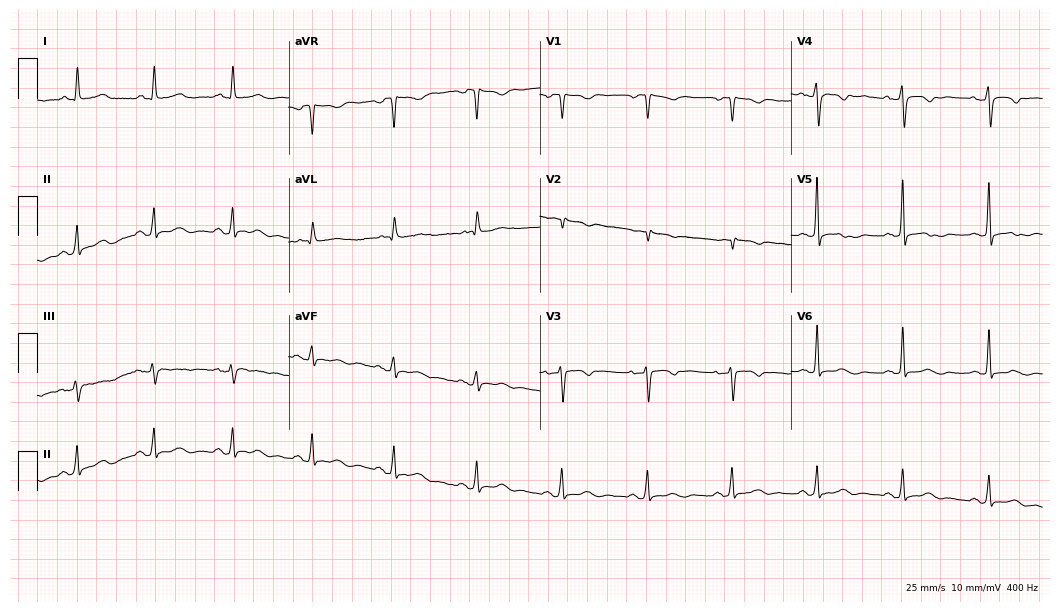
Resting 12-lead electrocardiogram (10.2-second recording at 400 Hz). Patient: a female, 60 years old. Read as a normal ECG.